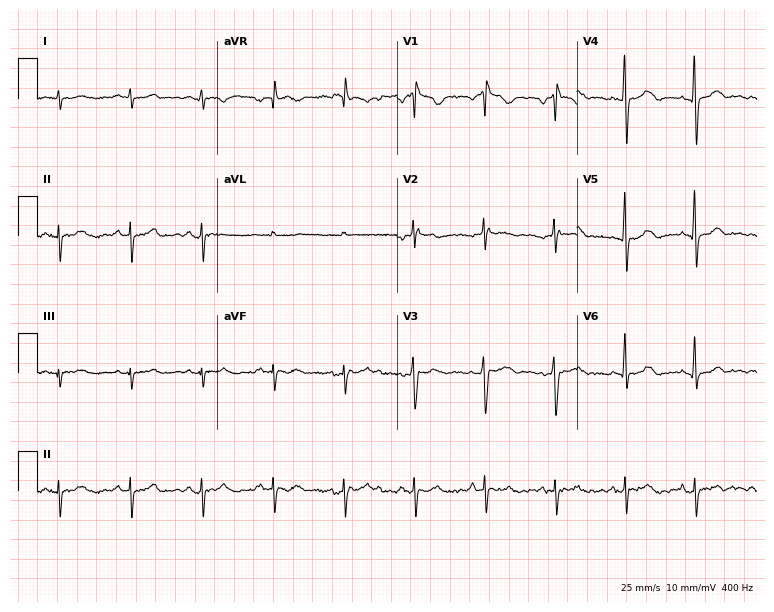
ECG (7.3-second recording at 400 Hz) — a woman, 58 years old. Screened for six findings — first-degree AV block, right bundle branch block, left bundle branch block, sinus bradycardia, atrial fibrillation, sinus tachycardia — none is recorded. Other findings, if any, are not listed.